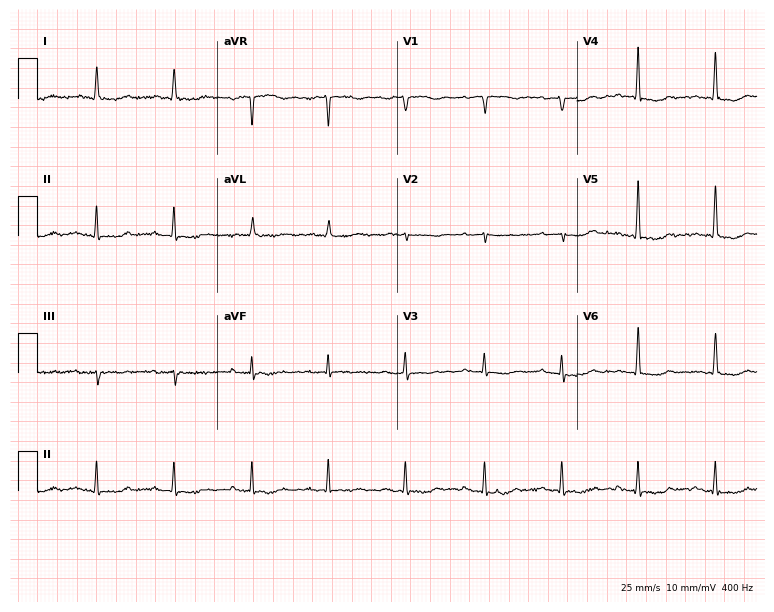
12-lead ECG from an 82-year-old woman. Screened for six findings — first-degree AV block, right bundle branch block, left bundle branch block, sinus bradycardia, atrial fibrillation, sinus tachycardia — none is recorded. Findings outside these six are not listed.